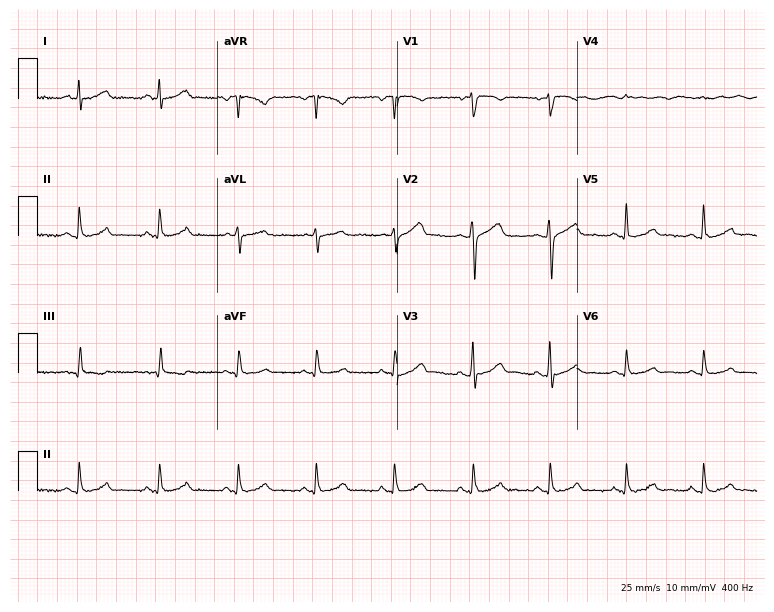
Electrocardiogram, a 50-year-old male patient. Overall reading on record: normal ECG.